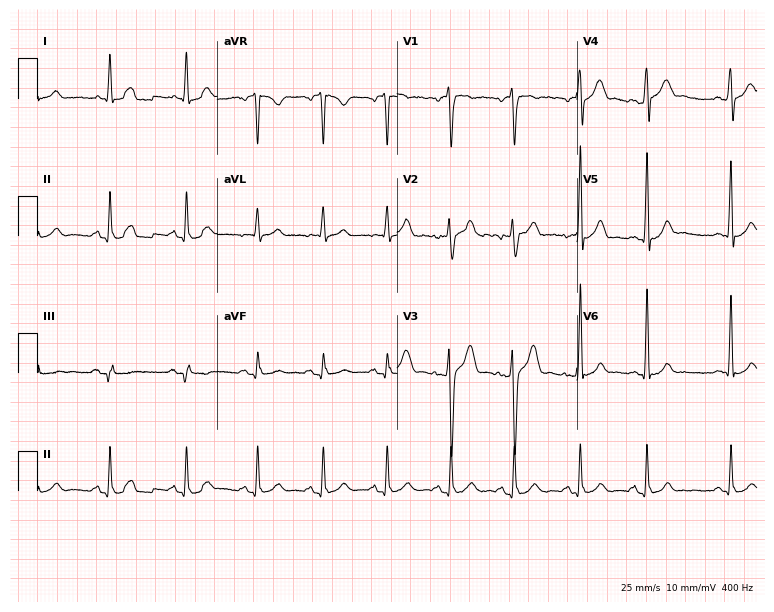
ECG — a 26-year-old male. Labelled as a normal ECG.